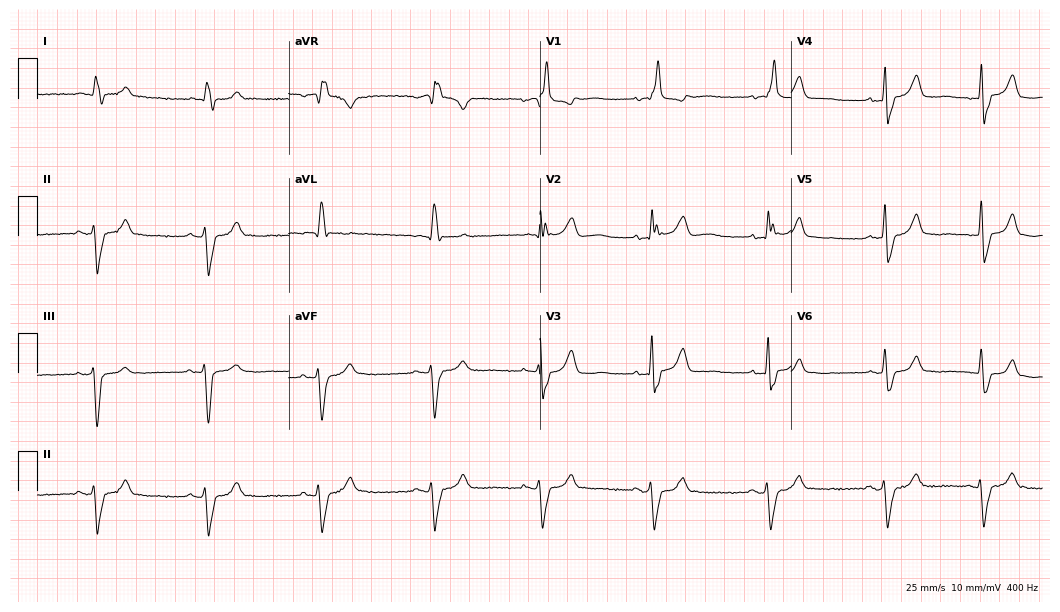
Standard 12-lead ECG recorded from a 78-year-old male patient (10.2-second recording at 400 Hz). The tracing shows right bundle branch block (RBBB).